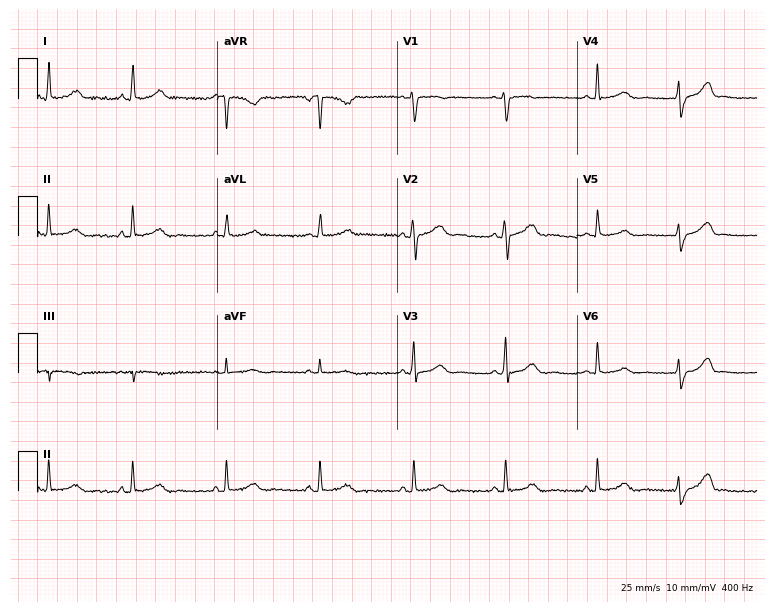
12-lead ECG from a 48-year-old female (7.3-second recording at 400 Hz). Recorded interpretation: within normal limits.